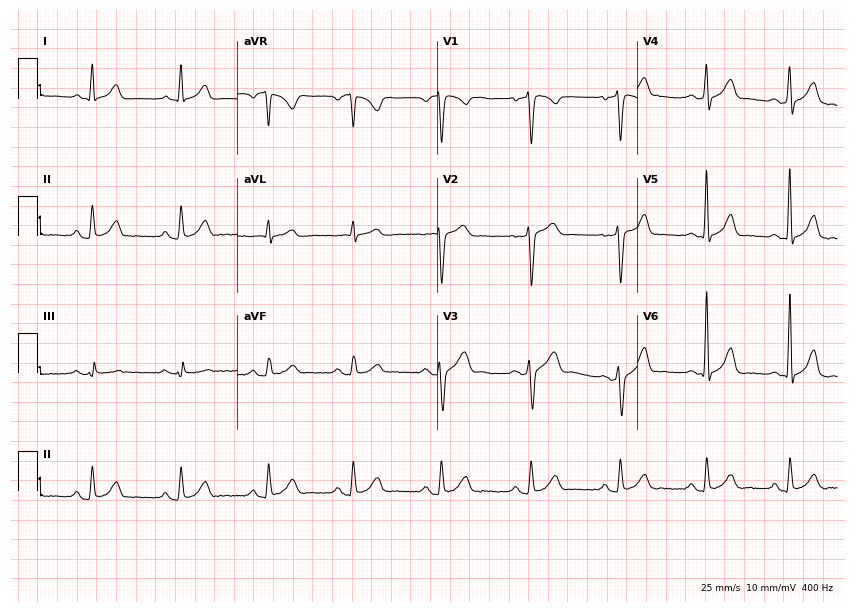
12-lead ECG (8.2-second recording at 400 Hz) from a 27-year-old male. Labelled as a normal ECG.